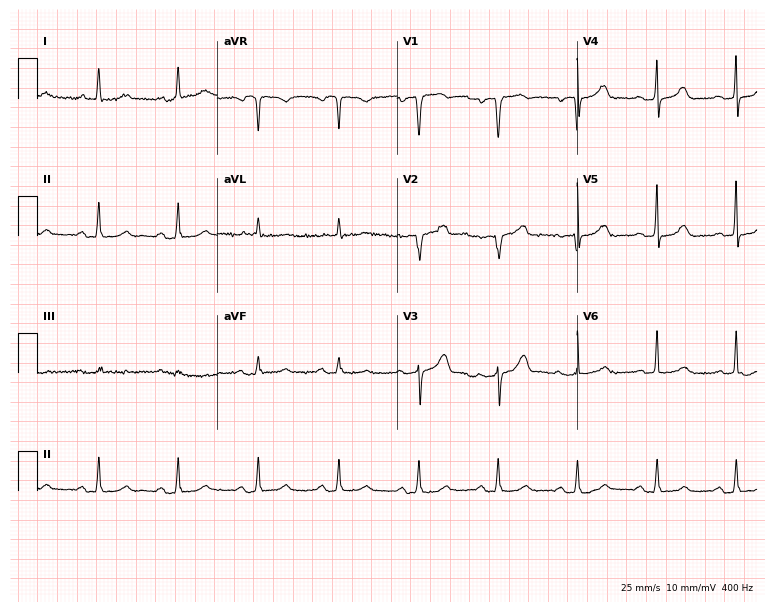
Electrocardiogram (7.3-second recording at 400 Hz), an 83-year-old female. Of the six screened findings (first-degree AV block, right bundle branch block, left bundle branch block, sinus bradycardia, atrial fibrillation, sinus tachycardia), none is recorded.